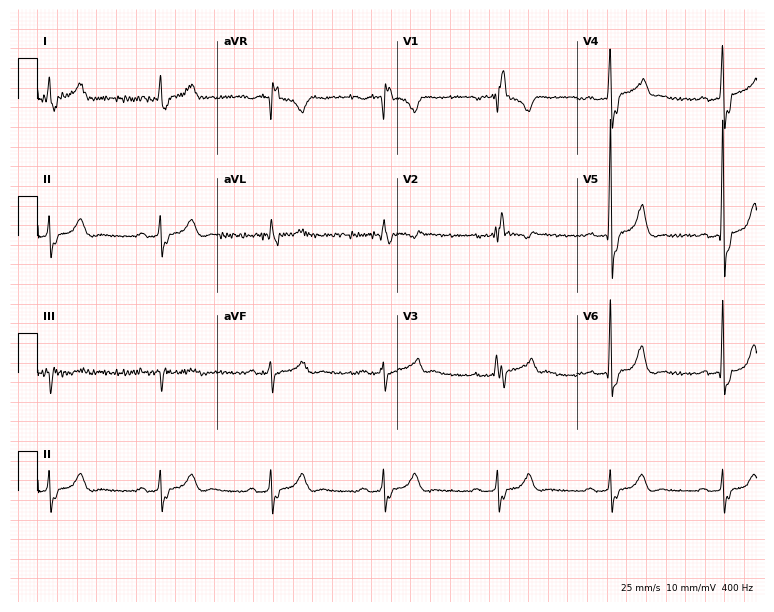
12-lead ECG (7.3-second recording at 400 Hz) from a 54-year-old male. Findings include first-degree AV block, right bundle branch block.